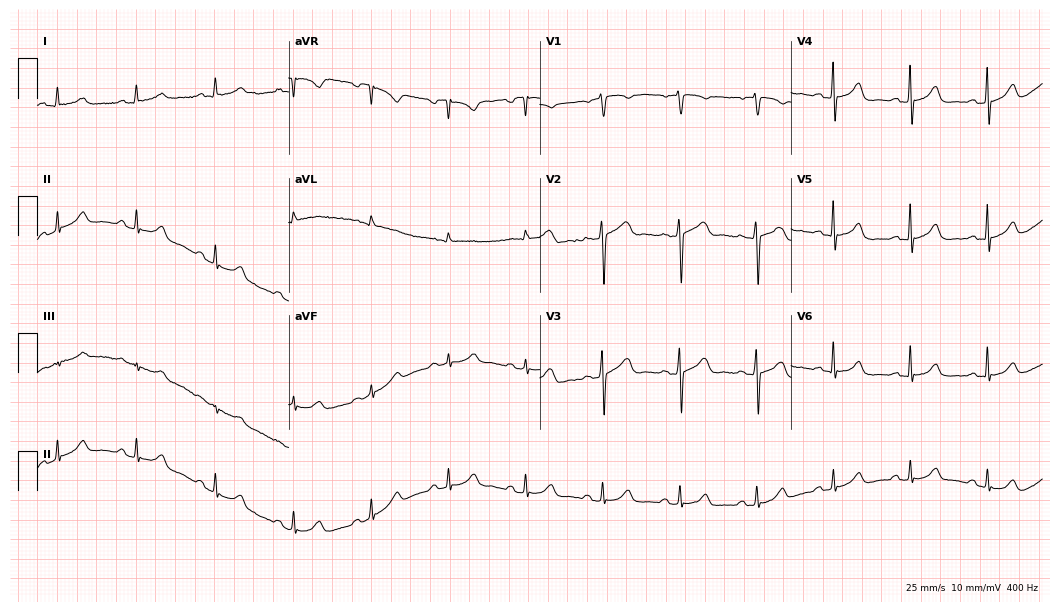
12-lead ECG from a 56-year-old female. Labelled as a normal ECG.